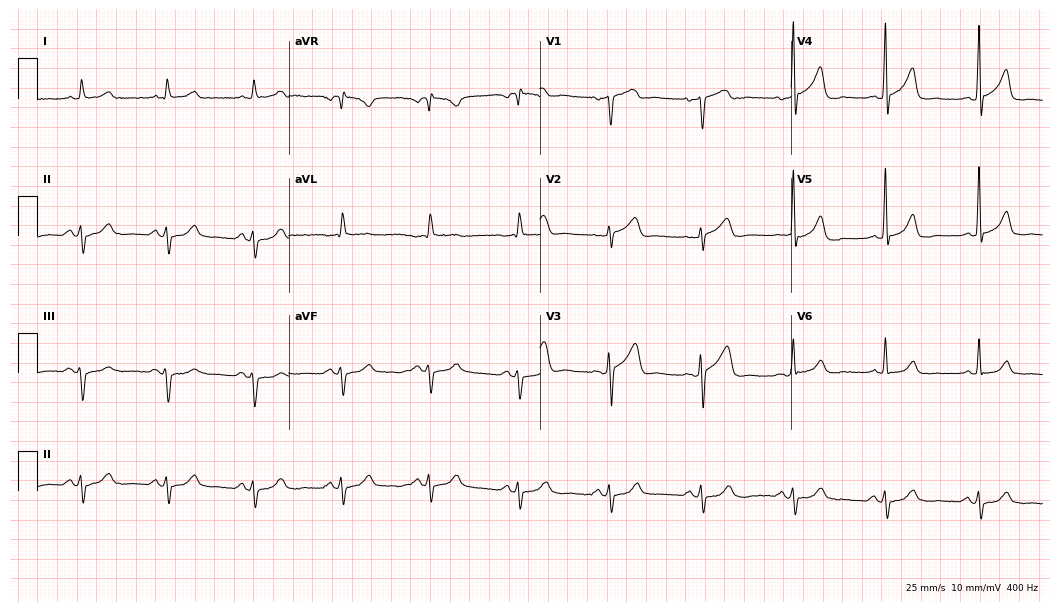
12-lead ECG from a 64-year-old male. No first-degree AV block, right bundle branch block, left bundle branch block, sinus bradycardia, atrial fibrillation or sinus tachycardia recorded for this tracing. Other findings, if any, are not listed.